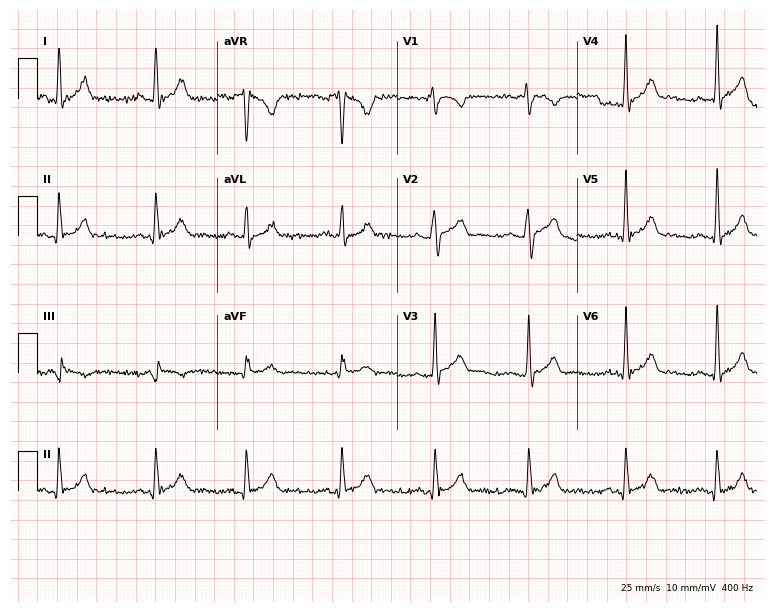
12-lead ECG from a man, 26 years old. No first-degree AV block, right bundle branch block, left bundle branch block, sinus bradycardia, atrial fibrillation or sinus tachycardia recorded for this tracing. Findings outside these six are not listed.